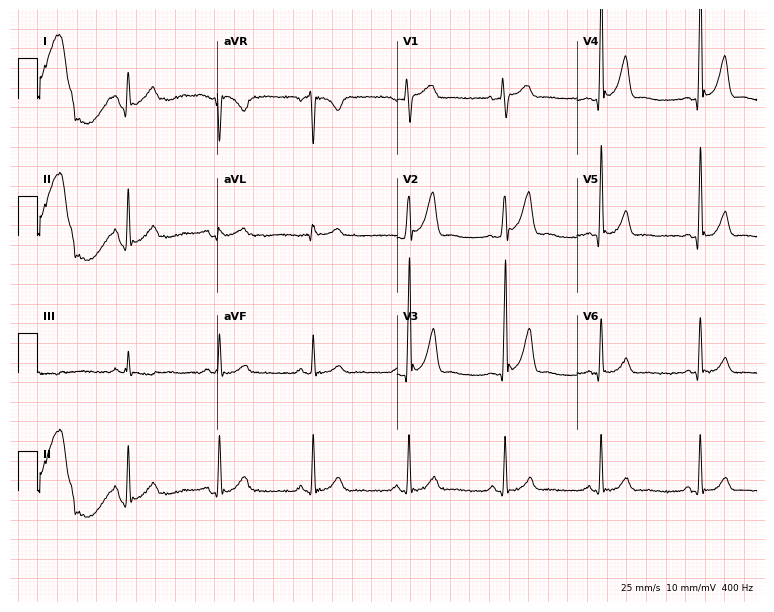
12-lead ECG from a 53-year-old man. No first-degree AV block, right bundle branch block, left bundle branch block, sinus bradycardia, atrial fibrillation or sinus tachycardia recorded for this tracing. Only these six findings were labelled.